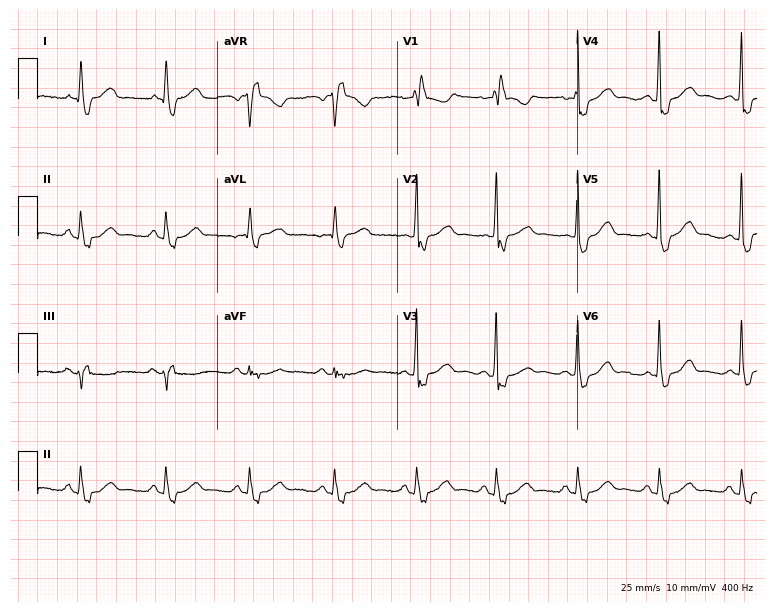
Electrocardiogram, a 70-year-old female. Interpretation includes right bundle branch block.